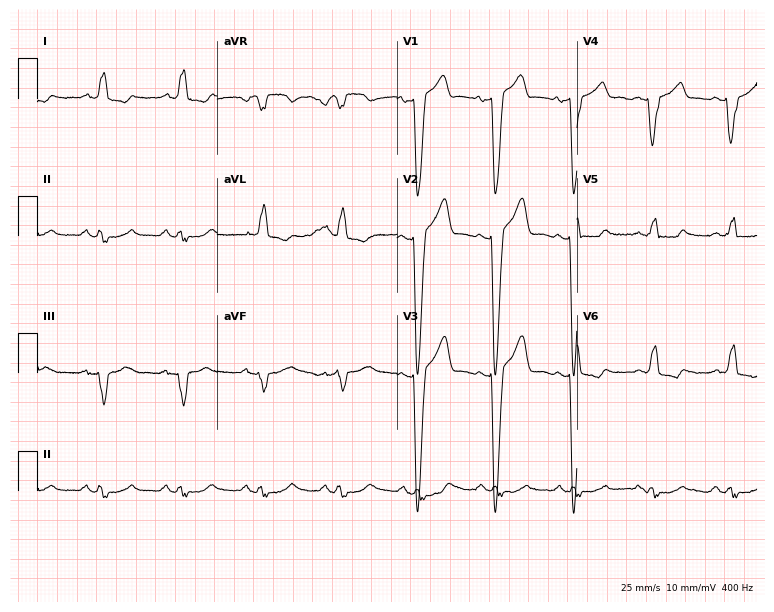
Resting 12-lead electrocardiogram. Patient: a 54-year-old male. The tracing shows left bundle branch block.